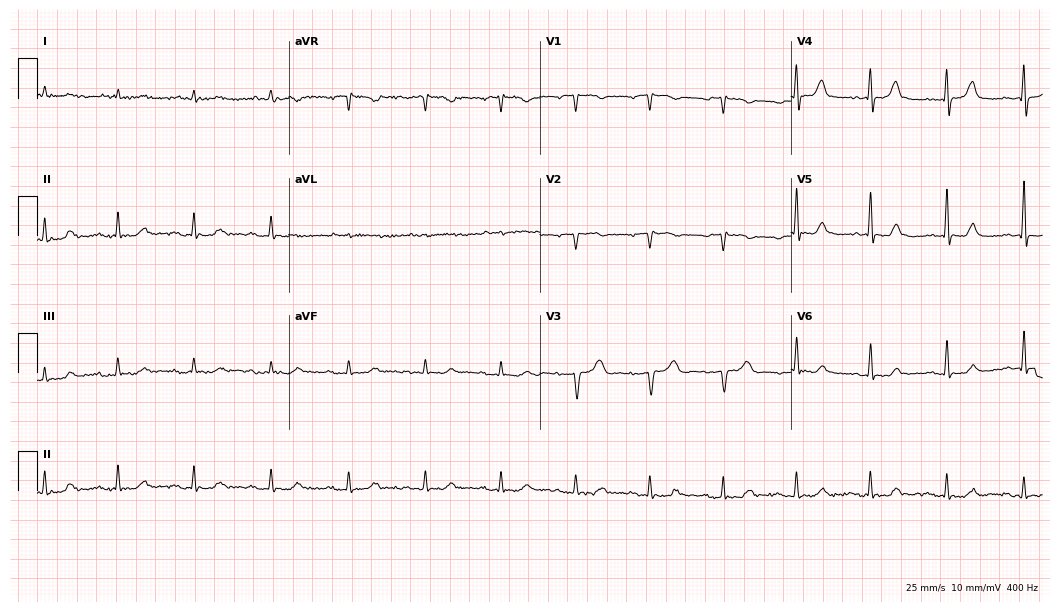
12-lead ECG (10.2-second recording at 400 Hz) from an 84-year-old man. Screened for six findings — first-degree AV block, right bundle branch block, left bundle branch block, sinus bradycardia, atrial fibrillation, sinus tachycardia — none is recorded. Other findings, if any, are not listed.